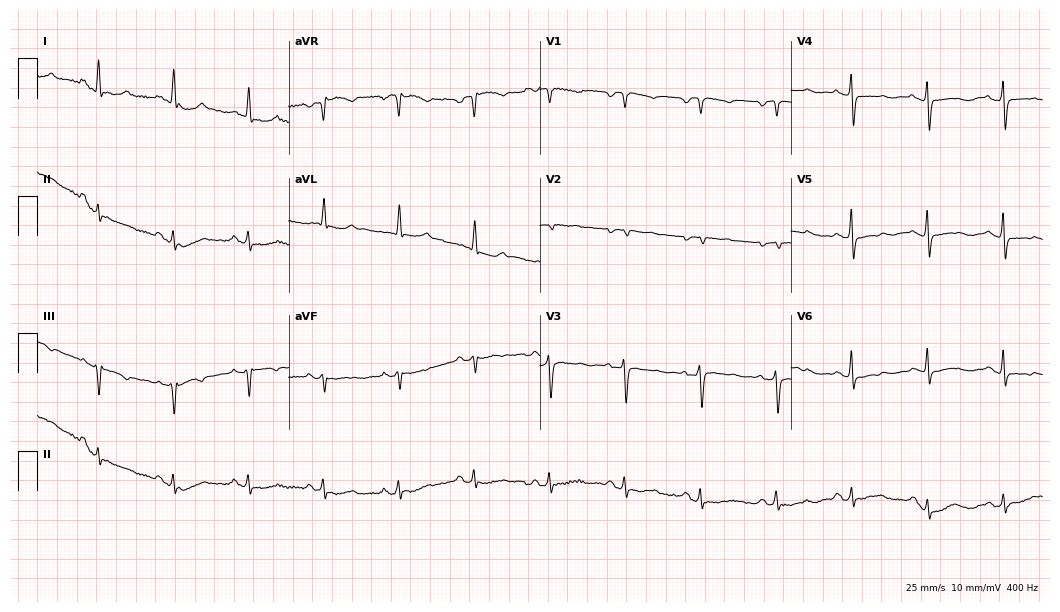
12-lead ECG from a female patient, 75 years old (10.2-second recording at 400 Hz). Recorded interpretation: within normal limits.